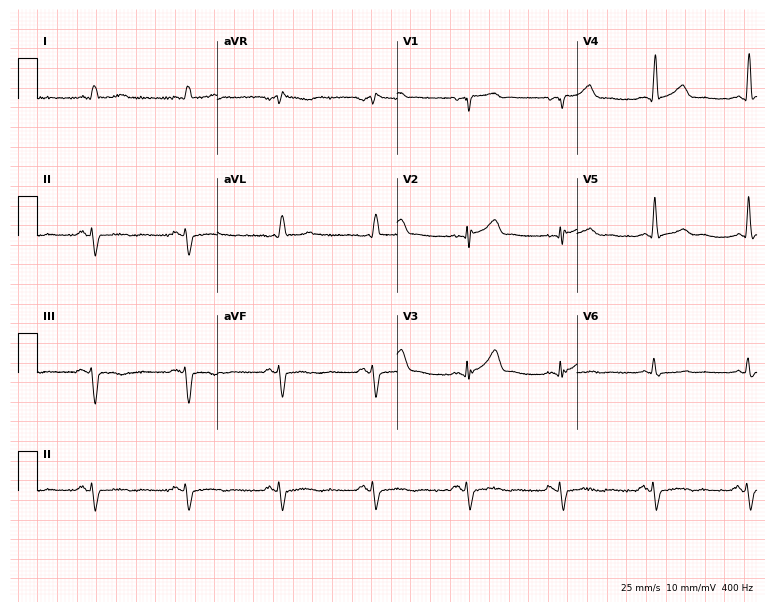
Standard 12-lead ECG recorded from a male, 62 years old (7.3-second recording at 400 Hz). None of these six findings is recorded: first-degree AV block, right bundle branch block, left bundle branch block, sinus bradycardia, atrial fibrillation, sinus tachycardia. Only these six findings were labelled.